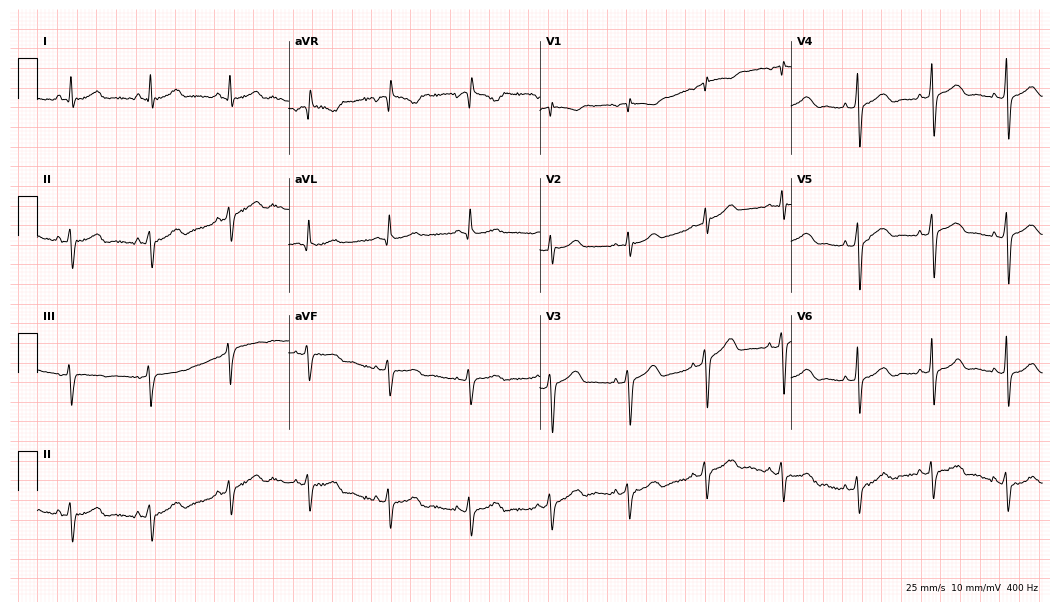
12-lead ECG from a 60-year-old male patient (10.2-second recording at 400 Hz). No first-degree AV block, right bundle branch block (RBBB), left bundle branch block (LBBB), sinus bradycardia, atrial fibrillation (AF) or sinus tachycardia recorded for this tracing.